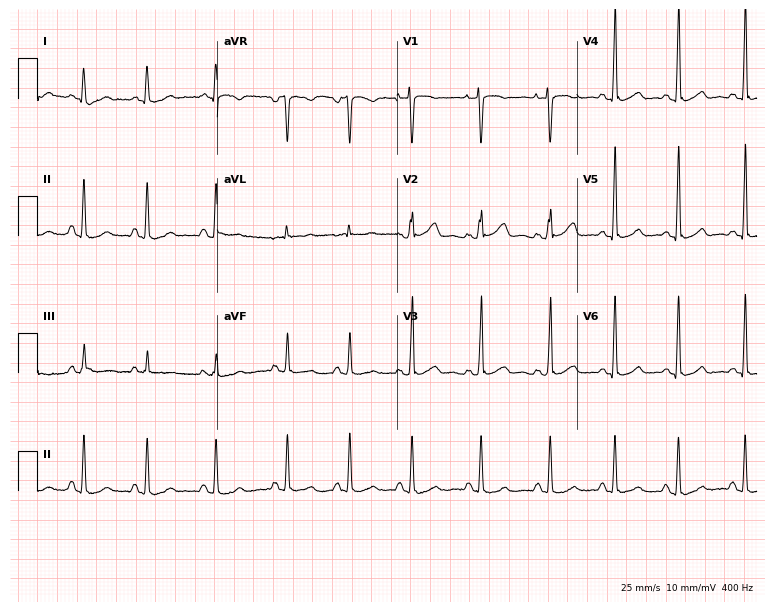
Electrocardiogram (7.3-second recording at 400 Hz), a 24-year-old woman. Of the six screened findings (first-degree AV block, right bundle branch block, left bundle branch block, sinus bradycardia, atrial fibrillation, sinus tachycardia), none is recorded.